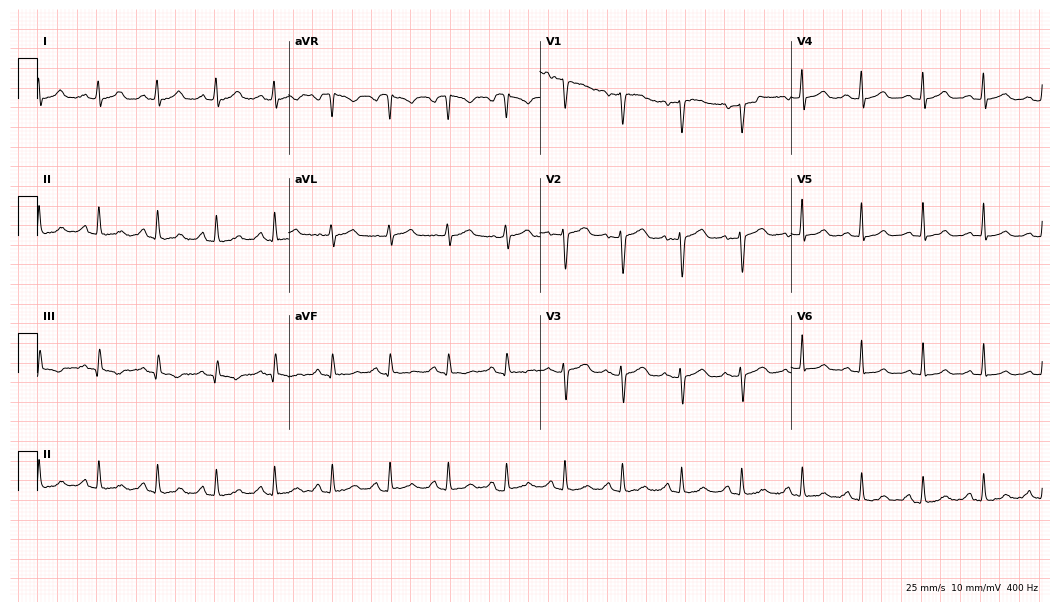
Electrocardiogram, a 34-year-old female. Overall reading on record: normal ECG.